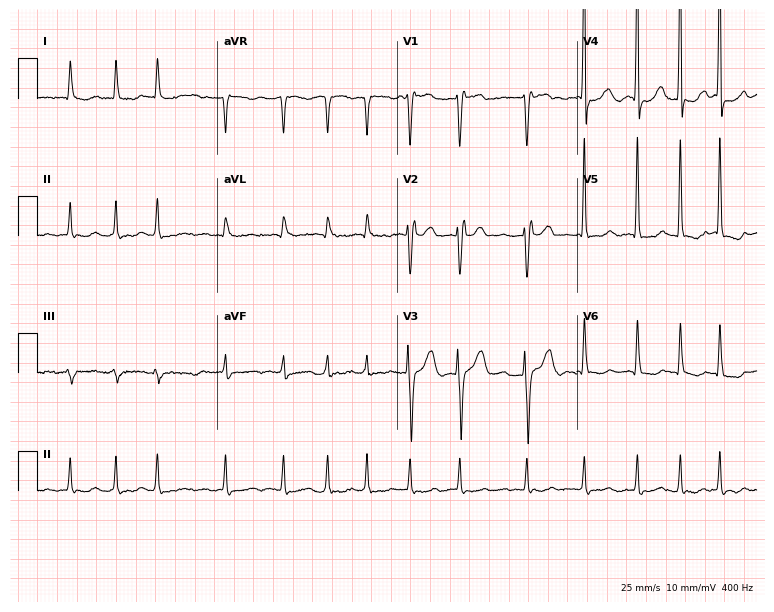
Electrocardiogram (7.3-second recording at 400 Hz), a 76-year-old man. Interpretation includes atrial fibrillation (AF).